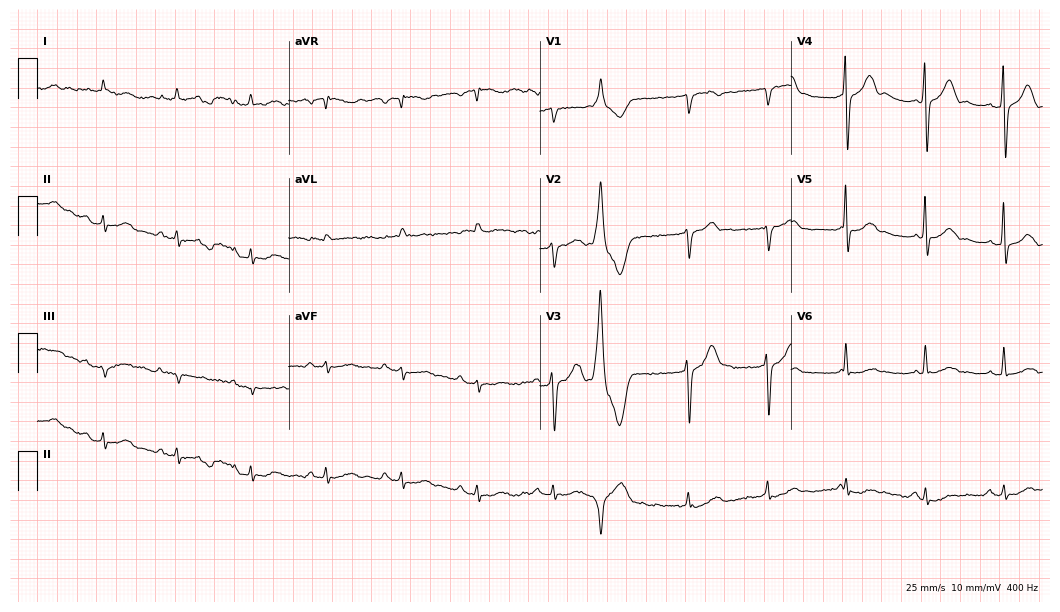
Standard 12-lead ECG recorded from a 74-year-old male. None of these six findings is recorded: first-degree AV block, right bundle branch block, left bundle branch block, sinus bradycardia, atrial fibrillation, sinus tachycardia.